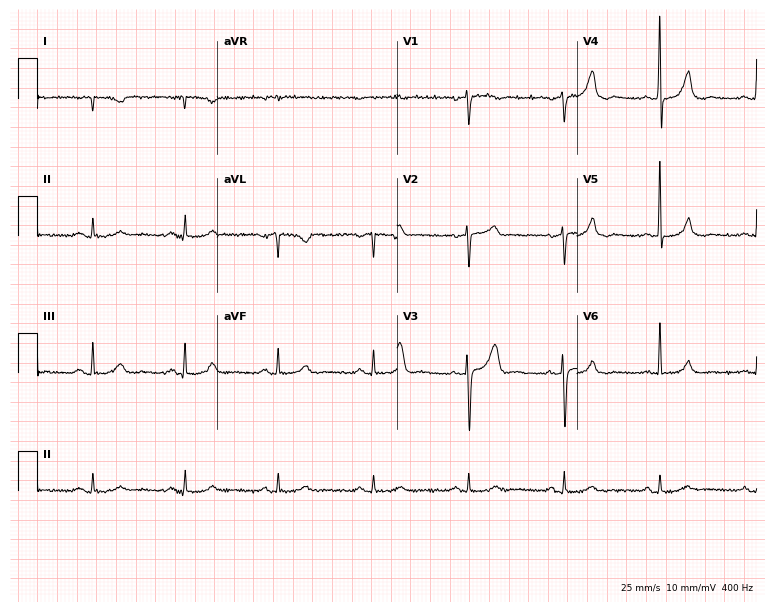
Resting 12-lead electrocardiogram. Patient: a 67-year-old male. None of these six findings is recorded: first-degree AV block, right bundle branch block, left bundle branch block, sinus bradycardia, atrial fibrillation, sinus tachycardia.